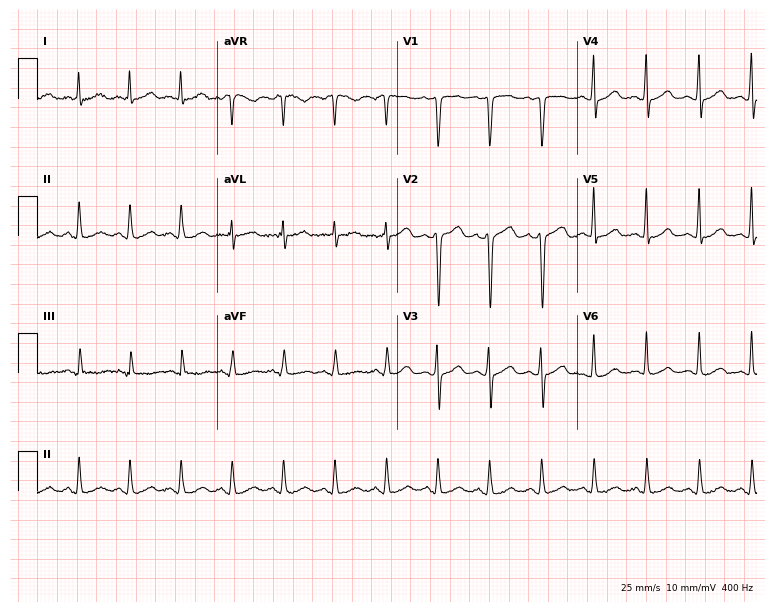
Resting 12-lead electrocardiogram (7.3-second recording at 400 Hz). Patient: a woman, 41 years old. The tracing shows sinus tachycardia (a sinus rate of 100 beats per minute or more).